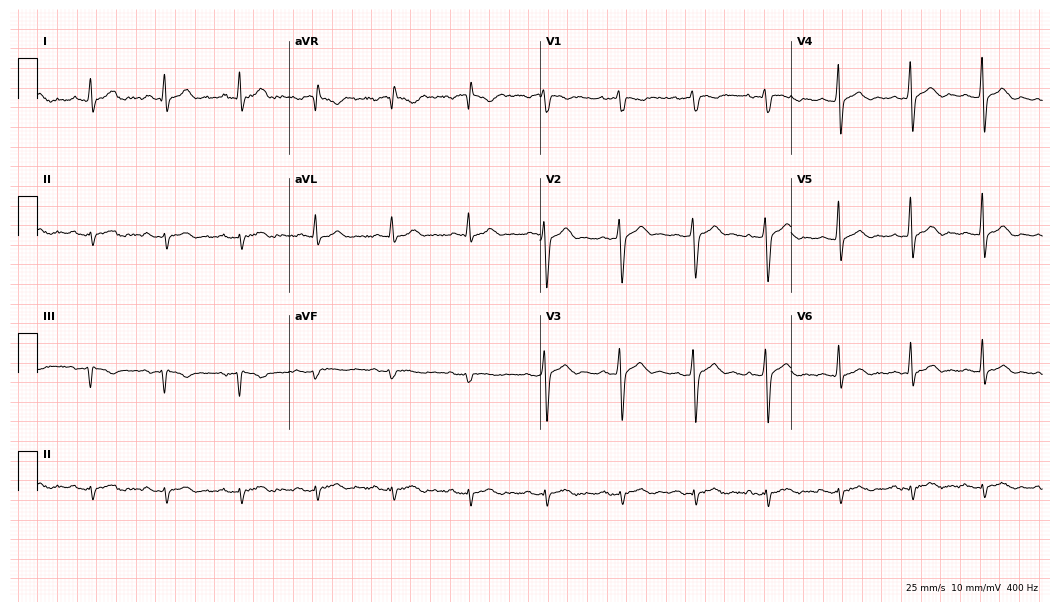
12-lead ECG from a man, 45 years old (10.2-second recording at 400 Hz). Recorded interpretation: within normal limits.